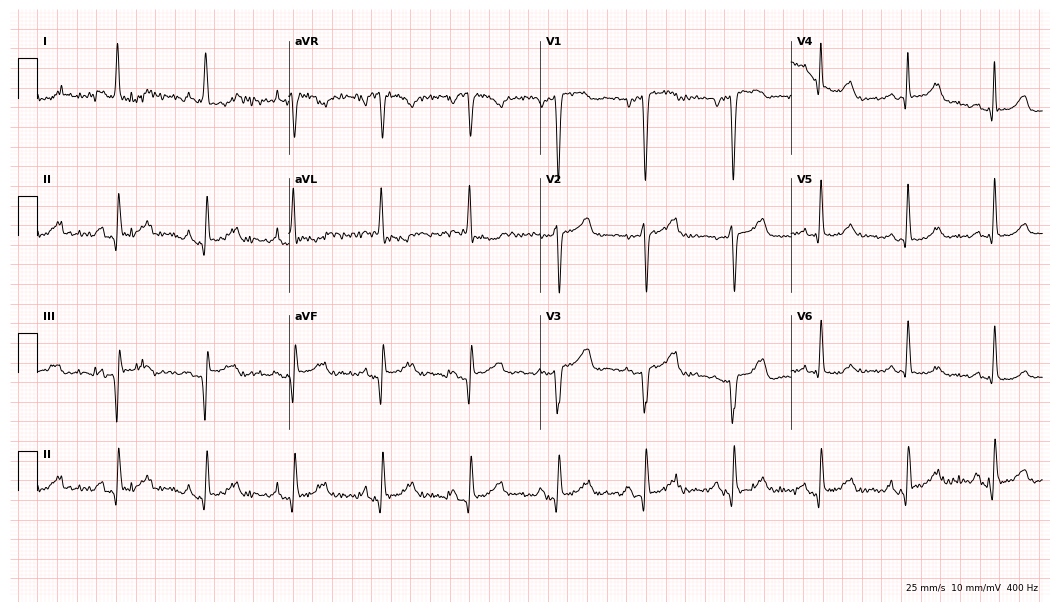
12-lead ECG (10.2-second recording at 400 Hz) from a 71-year-old female patient. Screened for six findings — first-degree AV block, right bundle branch block, left bundle branch block, sinus bradycardia, atrial fibrillation, sinus tachycardia — none is recorded. Findings outside these six are not listed.